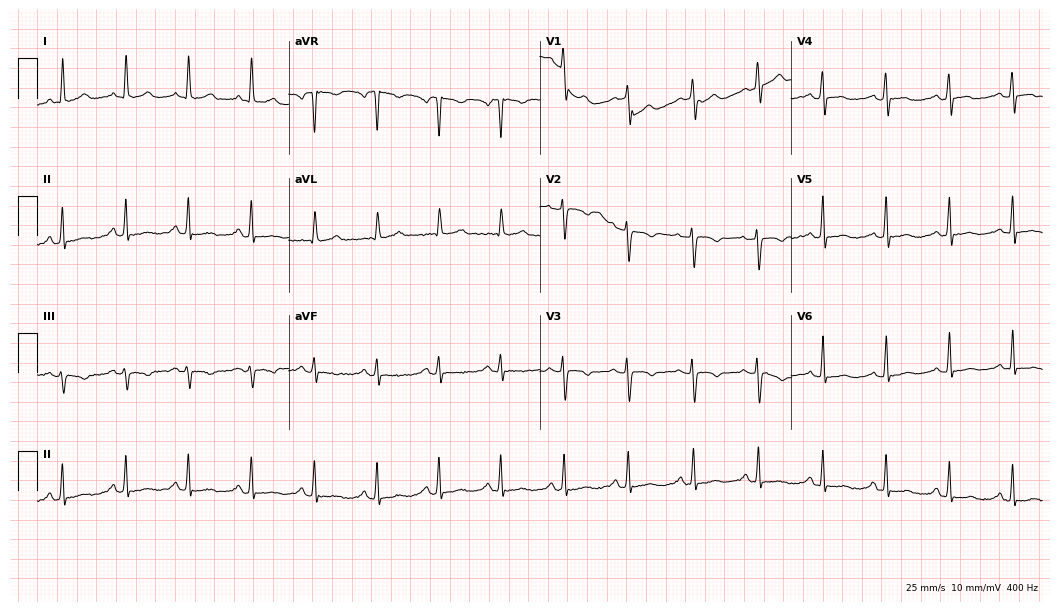
Electrocardiogram (10.2-second recording at 400 Hz), a female, 31 years old. Of the six screened findings (first-degree AV block, right bundle branch block (RBBB), left bundle branch block (LBBB), sinus bradycardia, atrial fibrillation (AF), sinus tachycardia), none is recorded. Other findings, if any, are not listed.